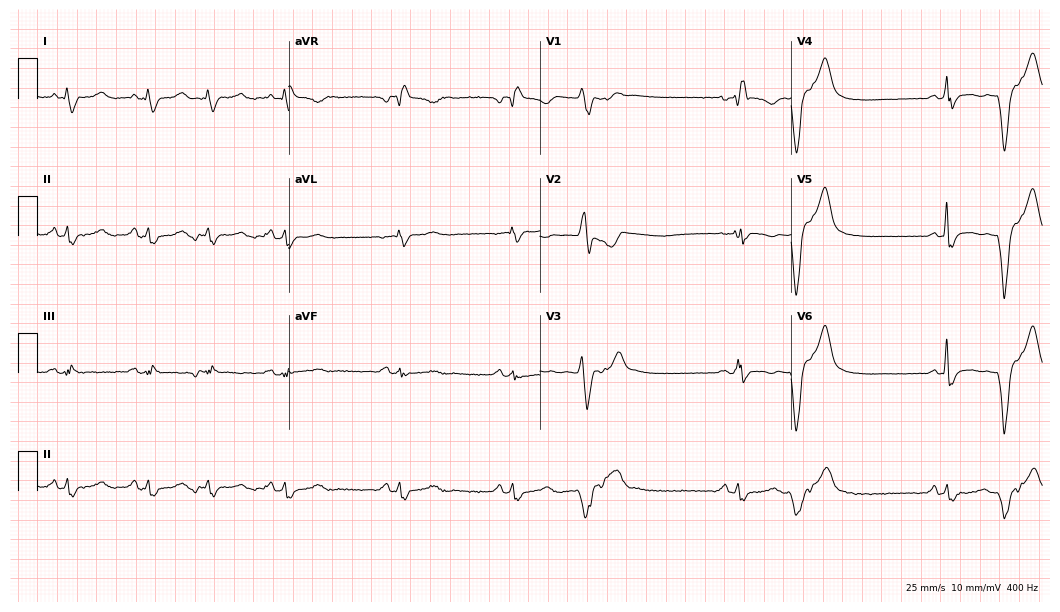
12-lead ECG from a 58-year-old female (10.2-second recording at 400 Hz). No first-degree AV block, right bundle branch block, left bundle branch block, sinus bradycardia, atrial fibrillation or sinus tachycardia recorded for this tracing. Findings outside these six are not listed.